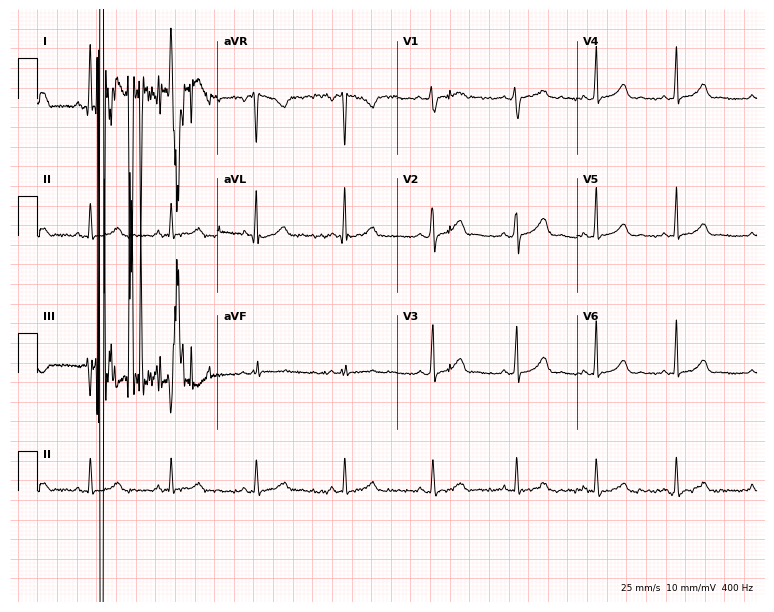
12-lead ECG from a woman, 23 years old (7.3-second recording at 400 Hz). No first-degree AV block, right bundle branch block, left bundle branch block, sinus bradycardia, atrial fibrillation or sinus tachycardia recorded for this tracing.